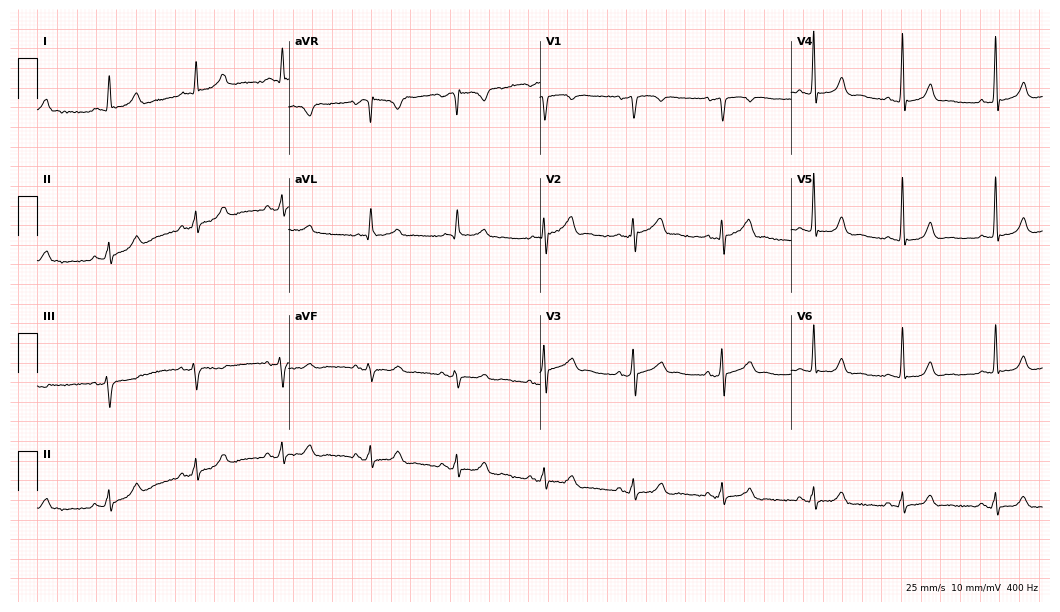
12-lead ECG from a 66-year-old male patient (10.2-second recording at 400 Hz). Recorded interpretation: within normal limits.